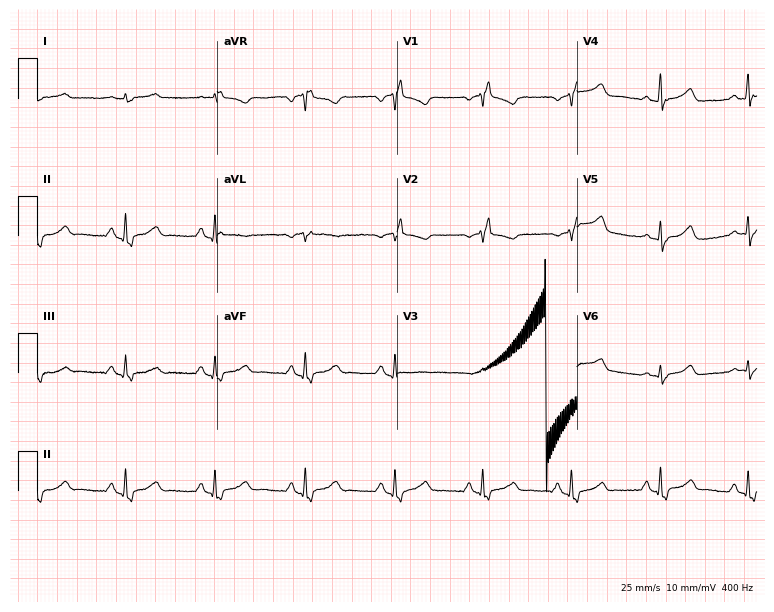
Resting 12-lead electrocardiogram (7.3-second recording at 400 Hz). Patient: a male, 64 years old. None of these six findings is recorded: first-degree AV block, right bundle branch block (RBBB), left bundle branch block (LBBB), sinus bradycardia, atrial fibrillation (AF), sinus tachycardia. Other findings, if any, are not listed.